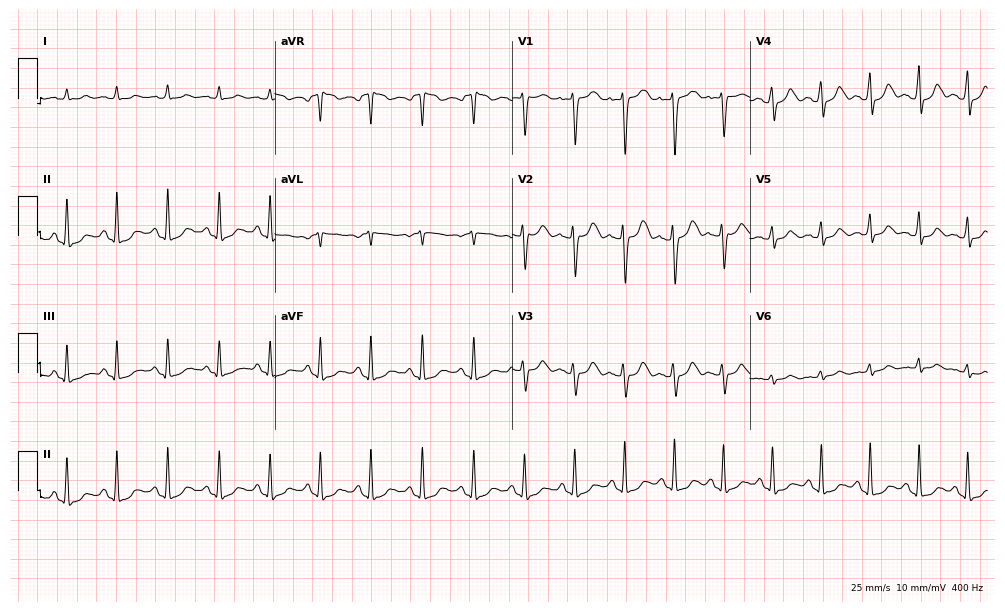
12-lead ECG from a female, 25 years old. Findings include sinus tachycardia (a sinus rate of 100 beats per minute or more).